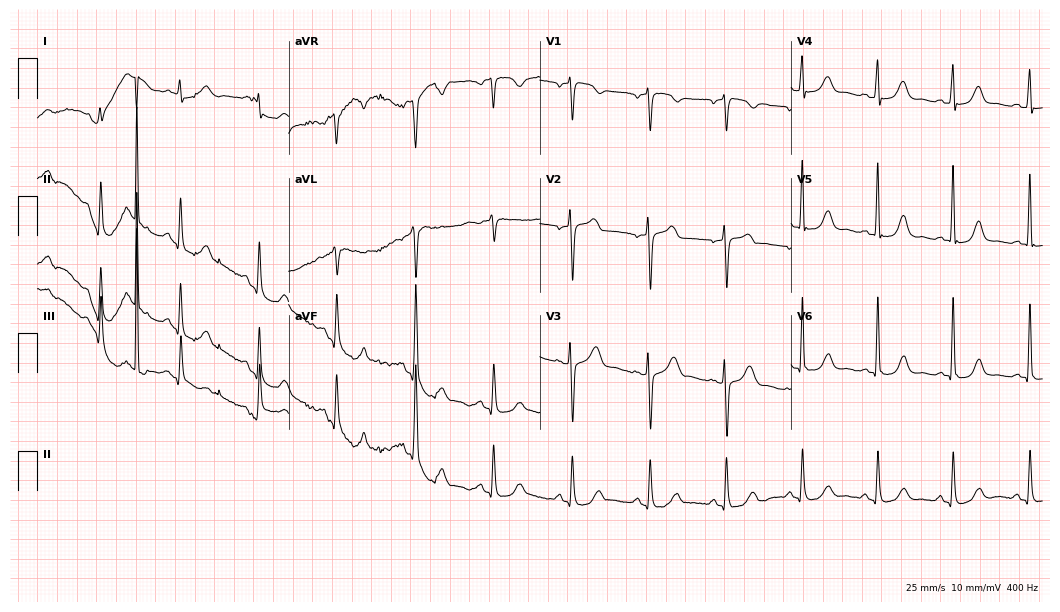
Standard 12-lead ECG recorded from a 73-year-old female patient. None of these six findings is recorded: first-degree AV block, right bundle branch block (RBBB), left bundle branch block (LBBB), sinus bradycardia, atrial fibrillation (AF), sinus tachycardia.